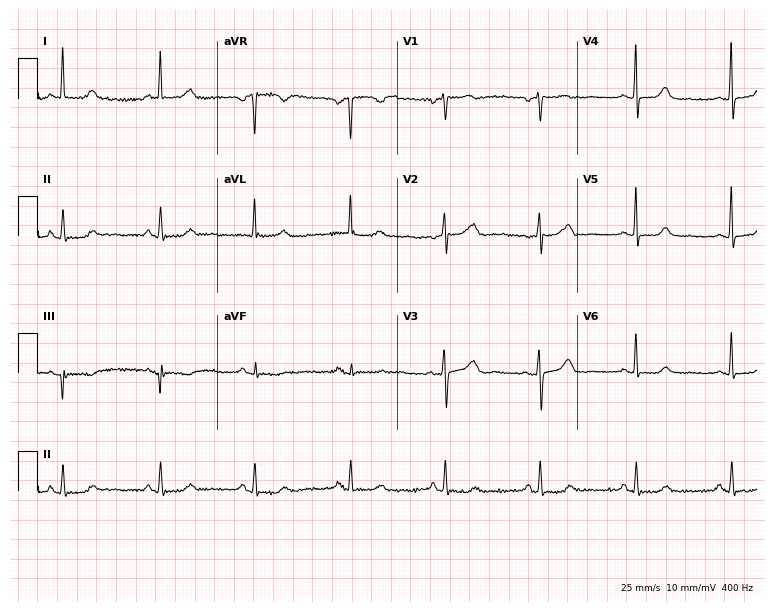
Resting 12-lead electrocardiogram (7.3-second recording at 400 Hz). Patient: a woman, 54 years old. Read as a normal ECG.